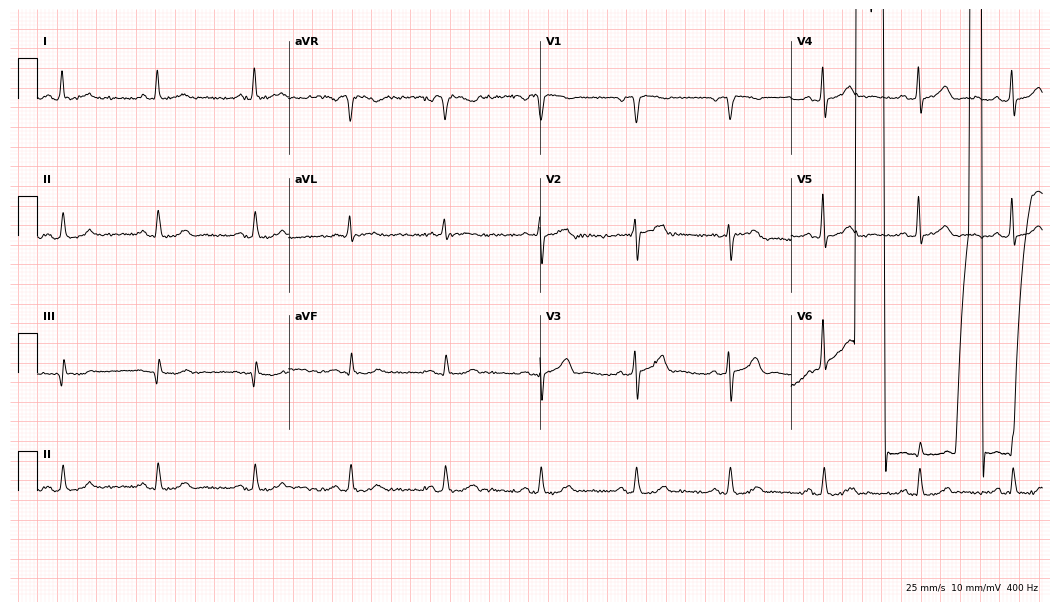
ECG — a 76-year-old man. Screened for six findings — first-degree AV block, right bundle branch block (RBBB), left bundle branch block (LBBB), sinus bradycardia, atrial fibrillation (AF), sinus tachycardia — none is recorded. Only these six findings were labelled.